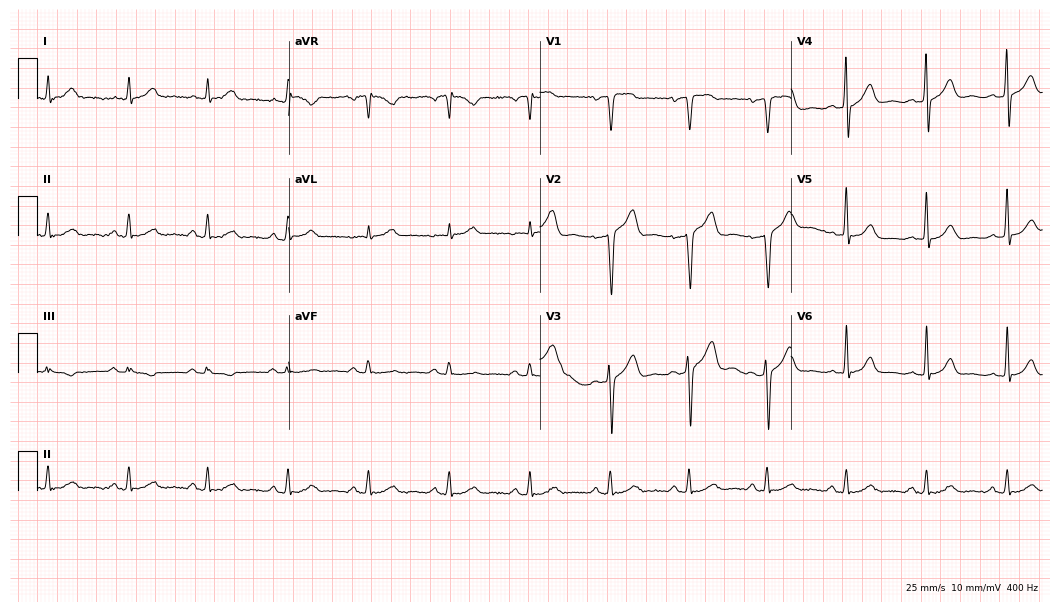
12-lead ECG from a male, 51 years old. Recorded interpretation: within normal limits.